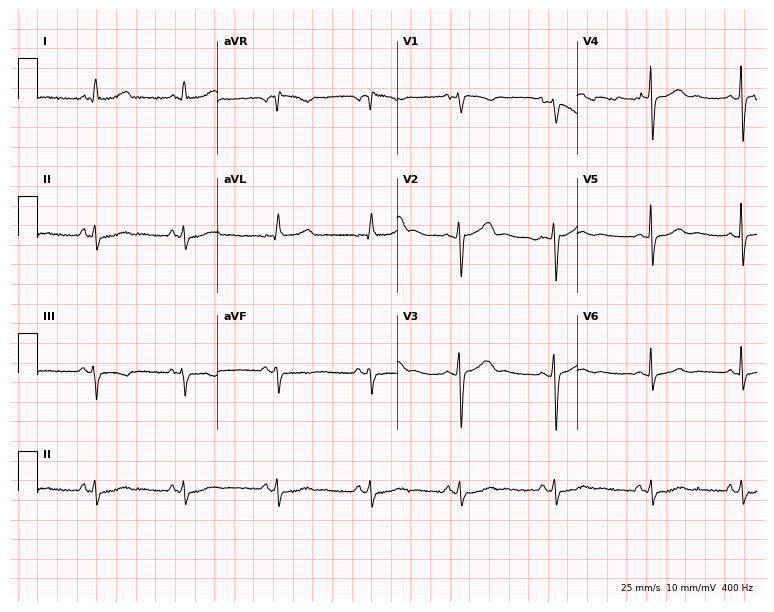
12-lead ECG from a 51-year-old female. Screened for six findings — first-degree AV block, right bundle branch block, left bundle branch block, sinus bradycardia, atrial fibrillation, sinus tachycardia — none is recorded.